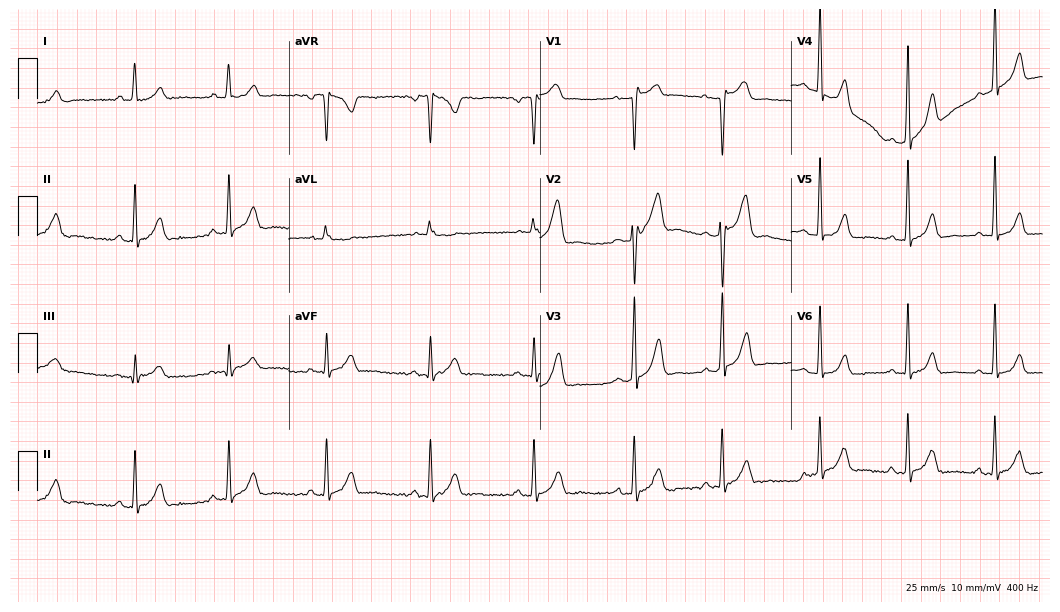
Resting 12-lead electrocardiogram (10.2-second recording at 400 Hz). Patient: a male, 25 years old. None of these six findings is recorded: first-degree AV block, right bundle branch block, left bundle branch block, sinus bradycardia, atrial fibrillation, sinus tachycardia. Only these six findings were labelled.